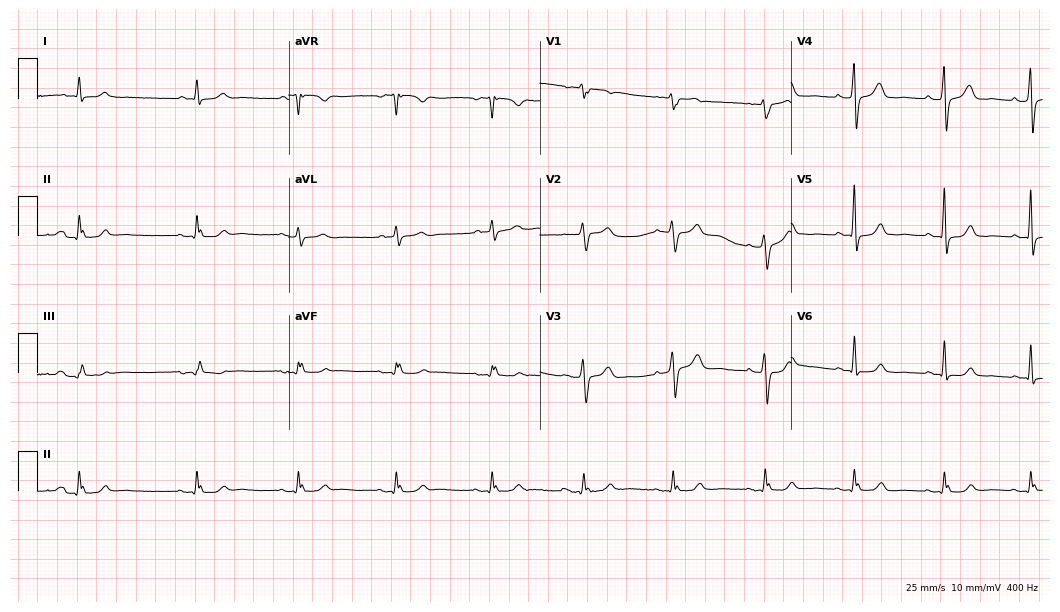
ECG — a male patient, 76 years old. Screened for six findings — first-degree AV block, right bundle branch block, left bundle branch block, sinus bradycardia, atrial fibrillation, sinus tachycardia — none is recorded. Findings outside these six are not listed.